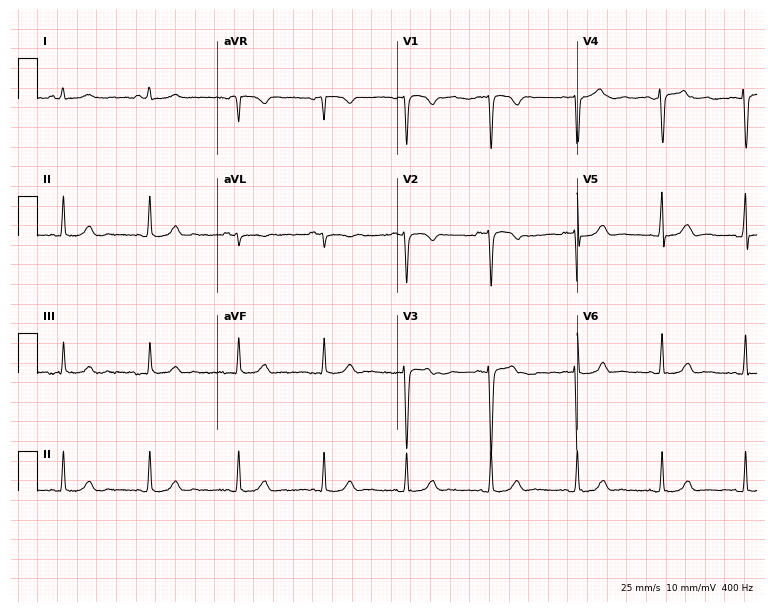
Electrocardiogram (7.3-second recording at 400 Hz), a 21-year-old female. Overall reading on record: normal ECG.